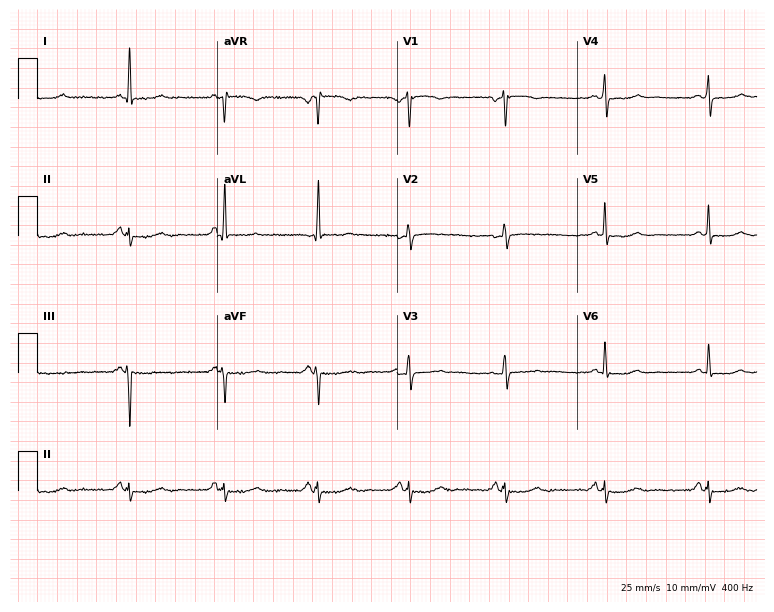
12-lead ECG from a female patient, 70 years old. No first-degree AV block, right bundle branch block, left bundle branch block, sinus bradycardia, atrial fibrillation or sinus tachycardia recorded for this tracing.